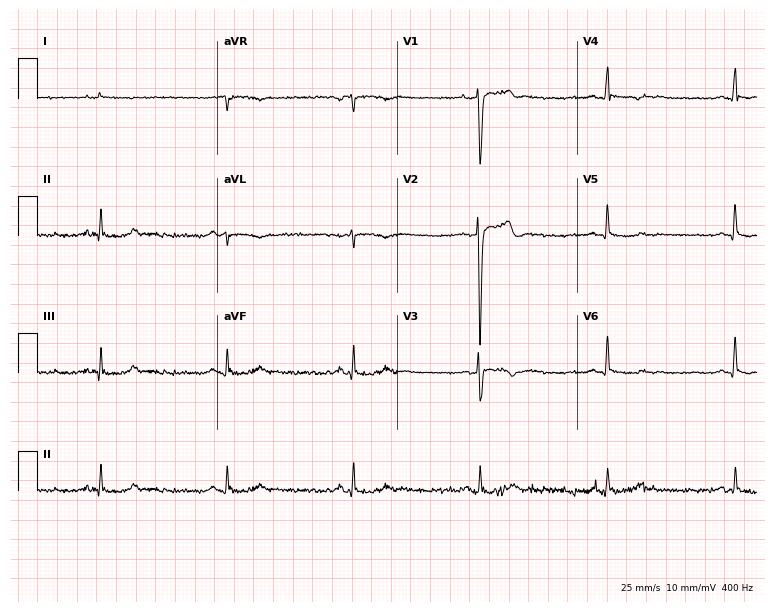
Standard 12-lead ECG recorded from a 35-year-old man. None of these six findings is recorded: first-degree AV block, right bundle branch block, left bundle branch block, sinus bradycardia, atrial fibrillation, sinus tachycardia. Only these six findings were labelled.